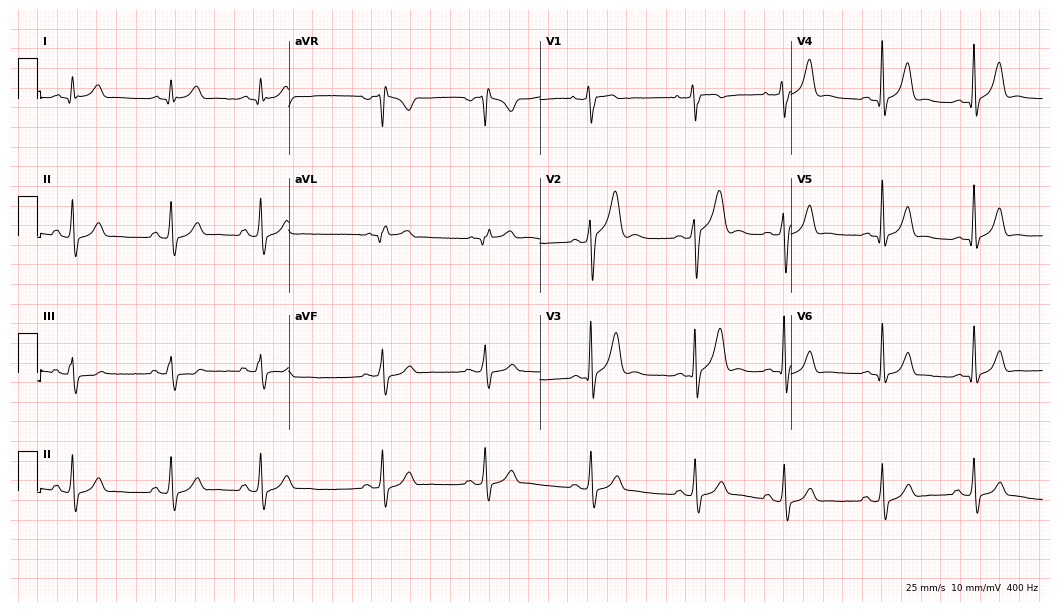
Resting 12-lead electrocardiogram (10.2-second recording at 400 Hz). Patient: a 26-year-old male. None of these six findings is recorded: first-degree AV block, right bundle branch block (RBBB), left bundle branch block (LBBB), sinus bradycardia, atrial fibrillation (AF), sinus tachycardia. Other findings, if any, are not listed.